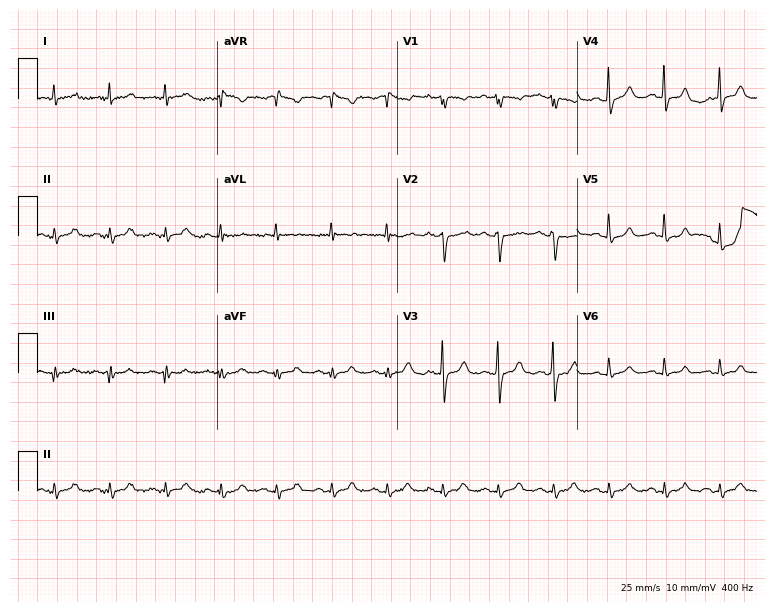
Standard 12-lead ECG recorded from an 80-year-old woman. The tracing shows sinus tachycardia (a sinus rate of 100 beats per minute or more).